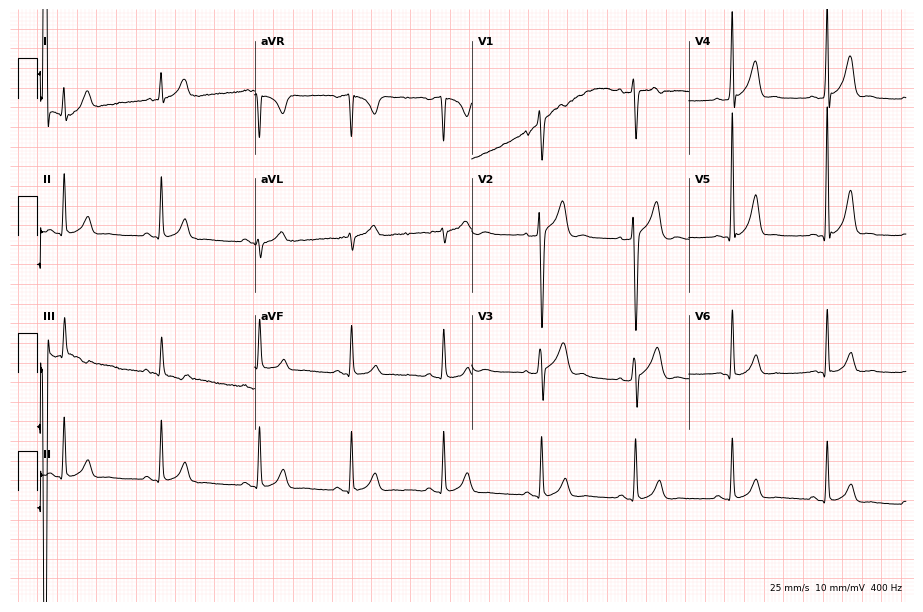
12-lead ECG from a male, 22 years old (8.9-second recording at 400 Hz). Recorded interpretation: within normal limits.